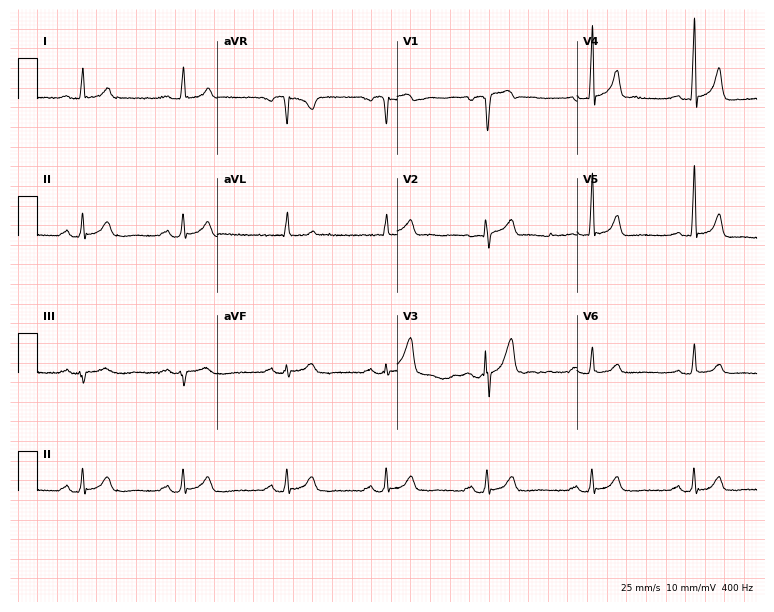
Resting 12-lead electrocardiogram (7.3-second recording at 400 Hz). Patient: a male, 70 years old. Read as a normal ECG.